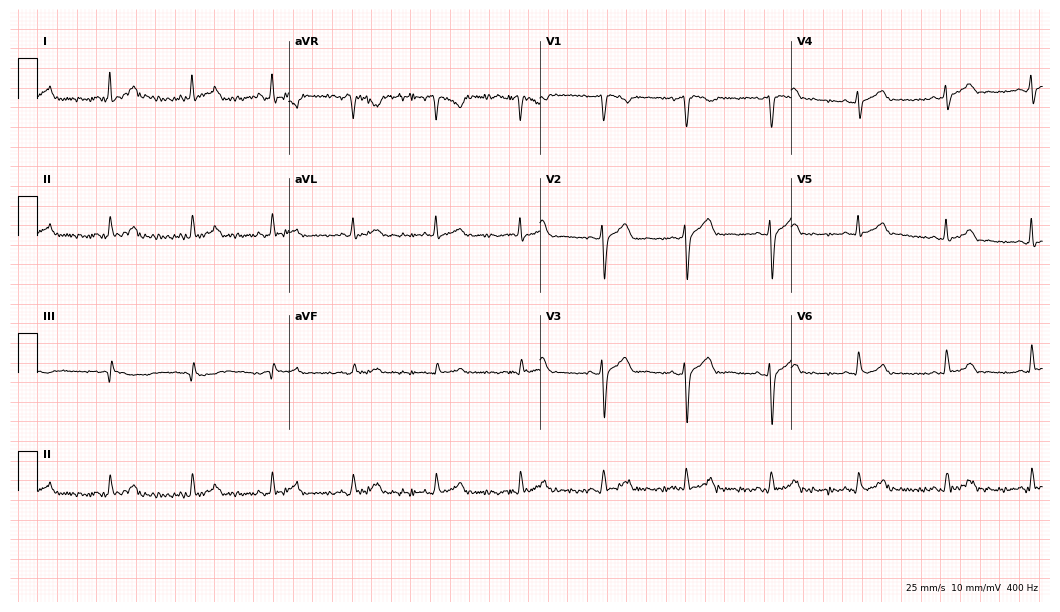
Standard 12-lead ECG recorded from a male, 43 years old (10.2-second recording at 400 Hz). Read as a normal ECG.